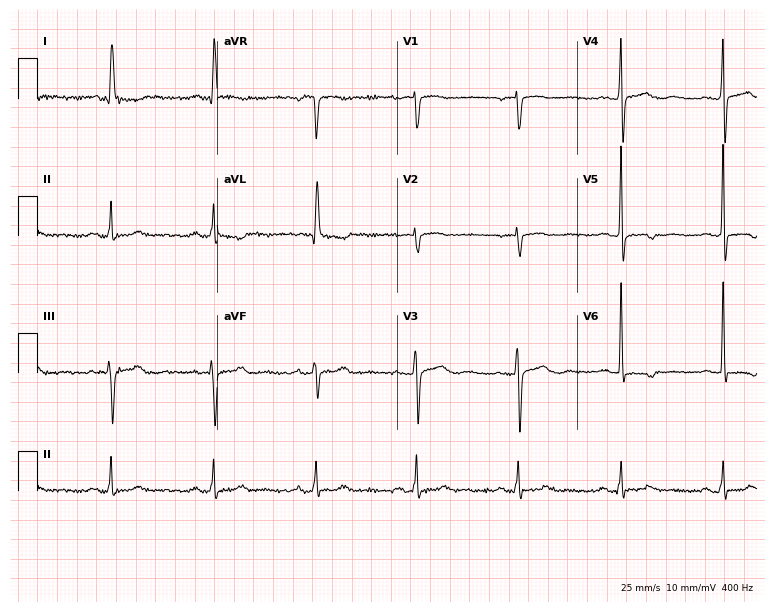
Resting 12-lead electrocardiogram (7.3-second recording at 400 Hz). Patient: a 76-year-old woman. None of these six findings is recorded: first-degree AV block, right bundle branch block, left bundle branch block, sinus bradycardia, atrial fibrillation, sinus tachycardia. Other findings, if any, are not listed.